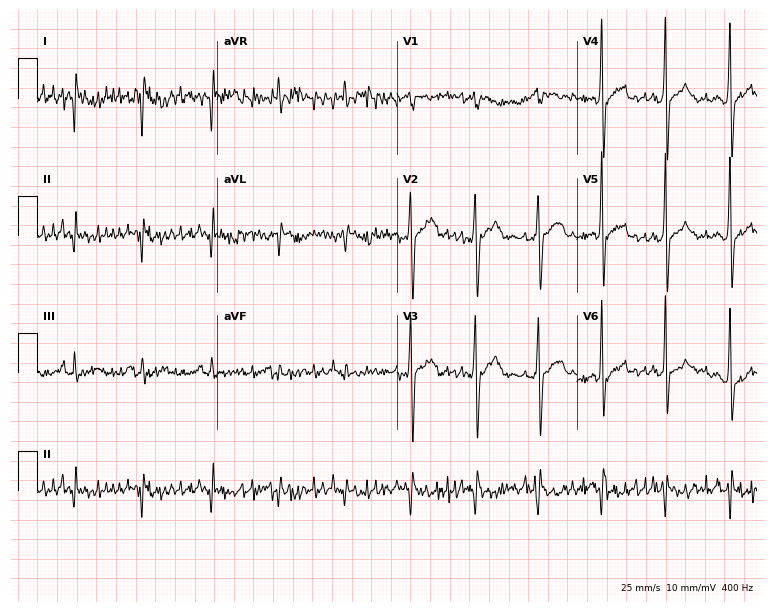
12-lead ECG from a 45-year-old man. No first-degree AV block, right bundle branch block, left bundle branch block, sinus bradycardia, atrial fibrillation or sinus tachycardia recorded for this tracing.